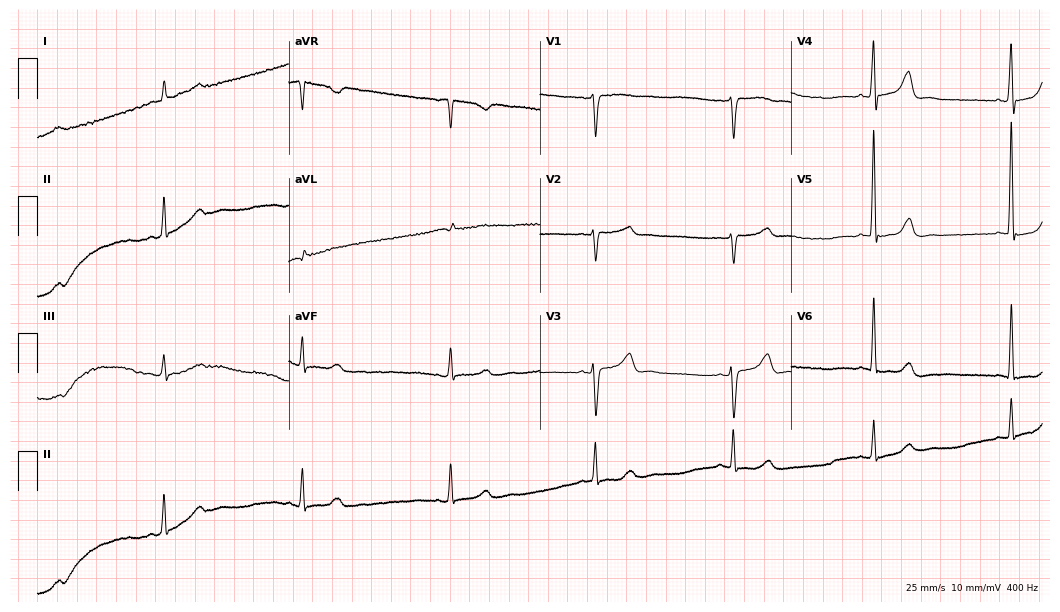
Electrocardiogram, a female patient, 84 years old. Interpretation includes sinus bradycardia (a sinus rate of 50 beats per minute or less).